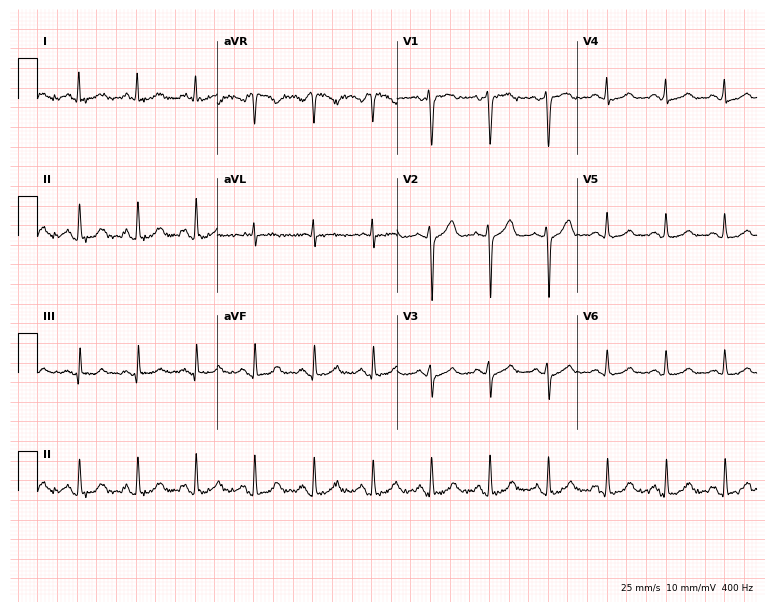
12-lead ECG (7.3-second recording at 400 Hz) from a 51-year-old female patient. Findings include sinus tachycardia (a sinus rate of 100 beats per minute or more).